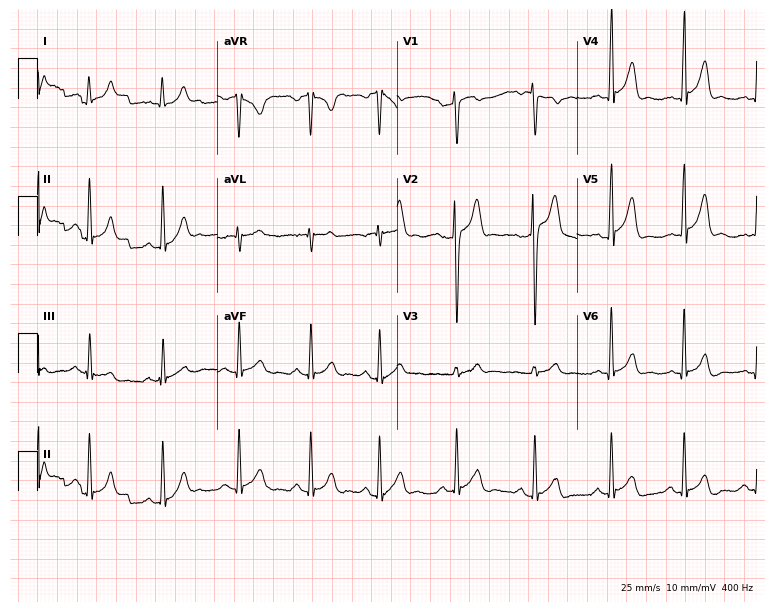
Resting 12-lead electrocardiogram. Patient: a man, 21 years old. None of these six findings is recorded: first-degree AV block, right bundle branch block, left bundle branch block, sinus bradycardia, atrial fibrillation, sinus tachycardia. Other findings, if any, are not listed.